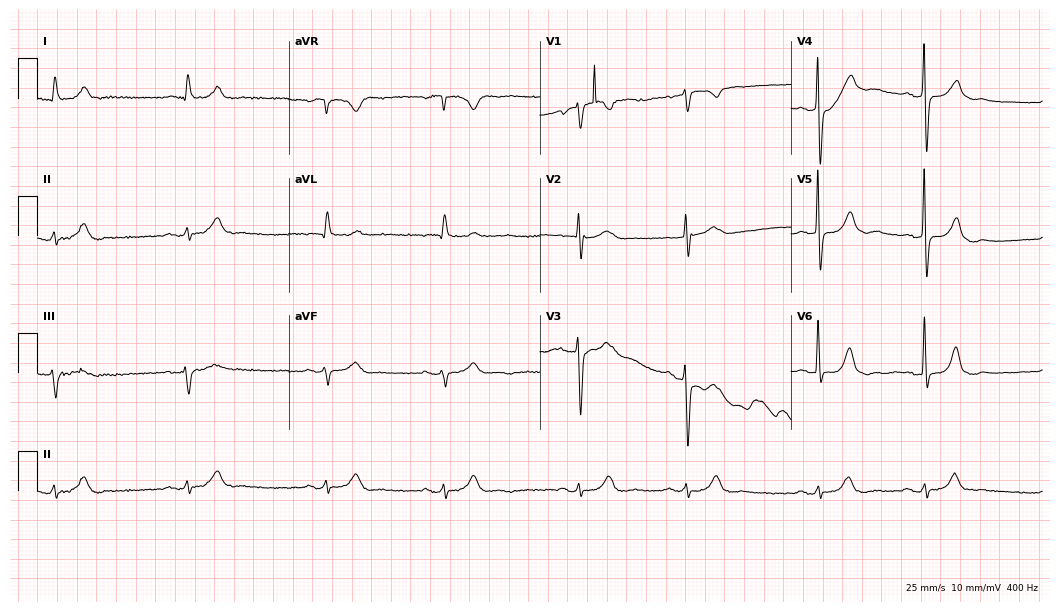
ECG — a 75-year-old man. Findings include sinus bradycardia (a sinus rate of 50 beats per minute or less).